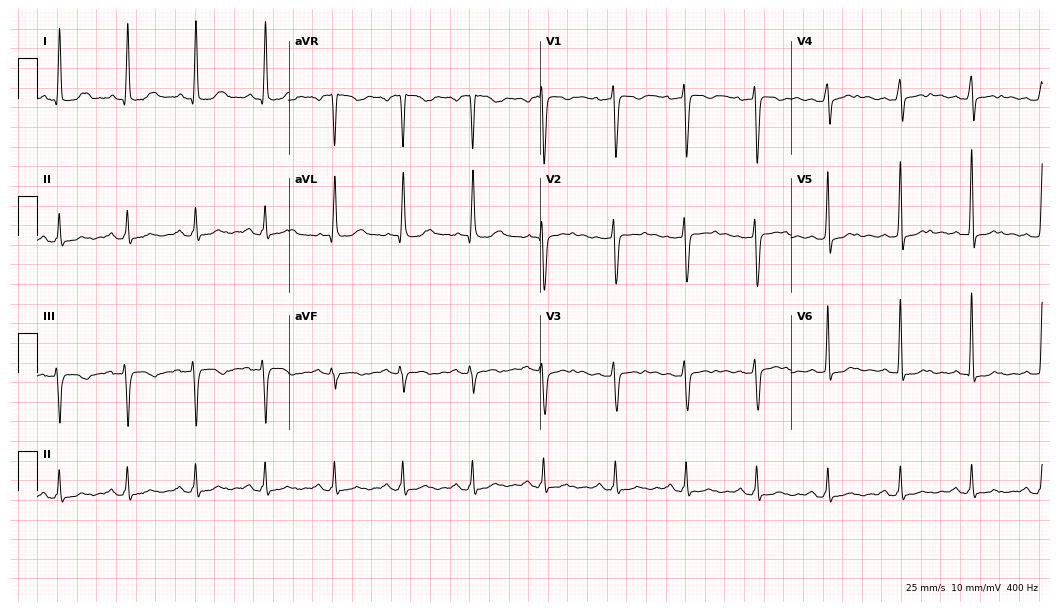
Standard 12-lead ECG recorded from a 48-year-old female patient (10.2-second recording at 400 Hz). None of these six findings is recorded: first-degree AV block, right bundle branch block, left bundle branch block, sinus bradycardia, atrial fibrillation, sinus tachycardia. Other findings, if any, are not listed.